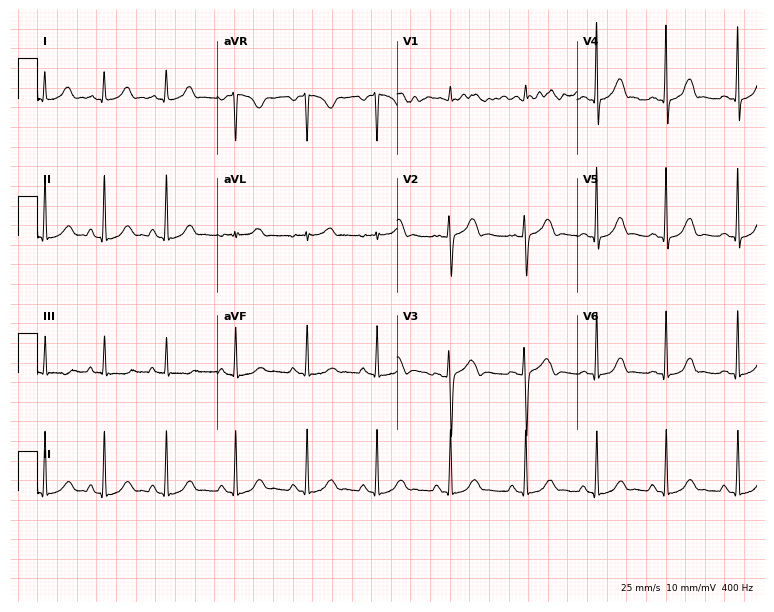
12-lead ECG from a 20-year-old woman. Recorded interpretation: within normal limits.